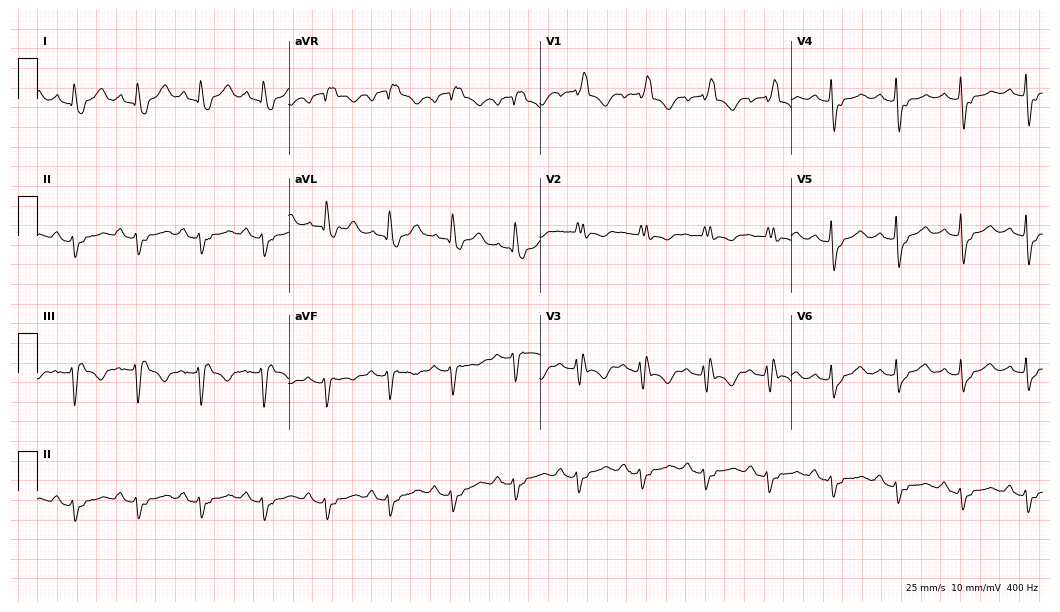
Electrocardiogram (10.2-second recording at 400 Hz), a 68-year-old female. Of the six screened findings (first-degree AV block, right bundle branch block (RBBB), left bundle branch block (LBBB), sinus bradycardia, atrial fibrillation (AF), sinus tachycardia), none is recorded.